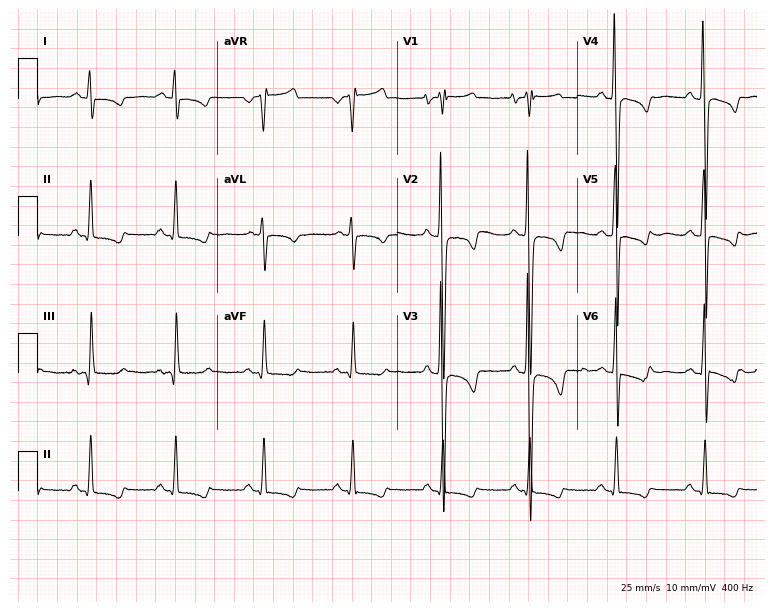
Resting 12-lead electrocardiogram. Patient: a man, 28 years old. None of these six findings is recorded: first-degree AV block, right bundle branch block, left bundle branch block, sinus bradycardia, atrial fibrillation, sinus tachycardia.